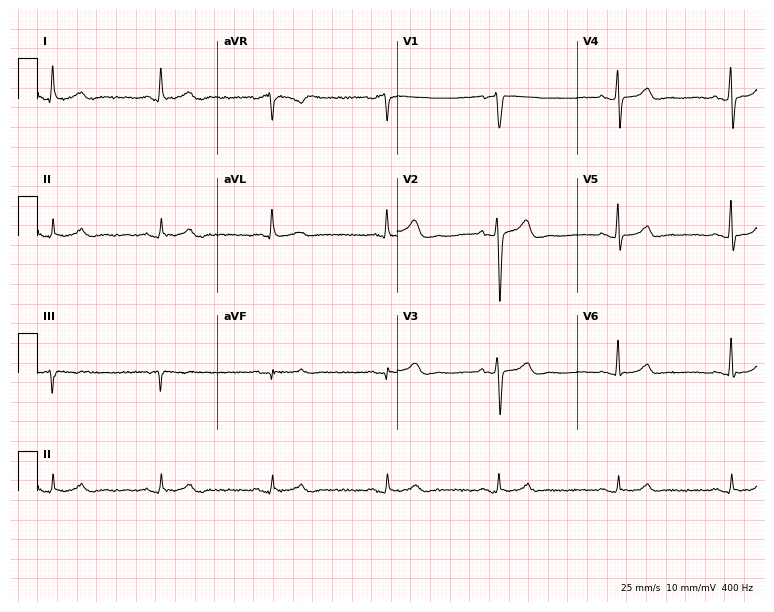
Electrocardiogram (7.3-second recording at 400 Hz), a male patient, 60 years old. Overall reading on record: normal ECG.